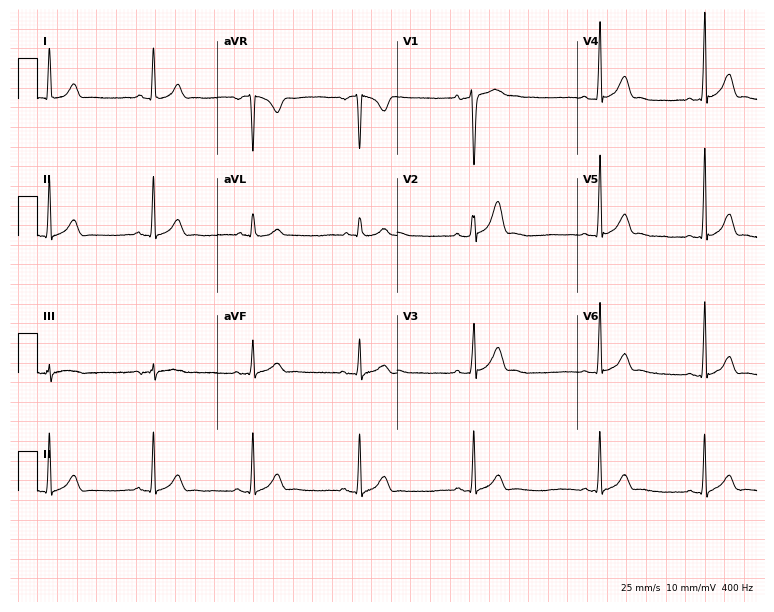
Electrocardiogram, a male, 27 years old. Overall reading on record: normal ECG.